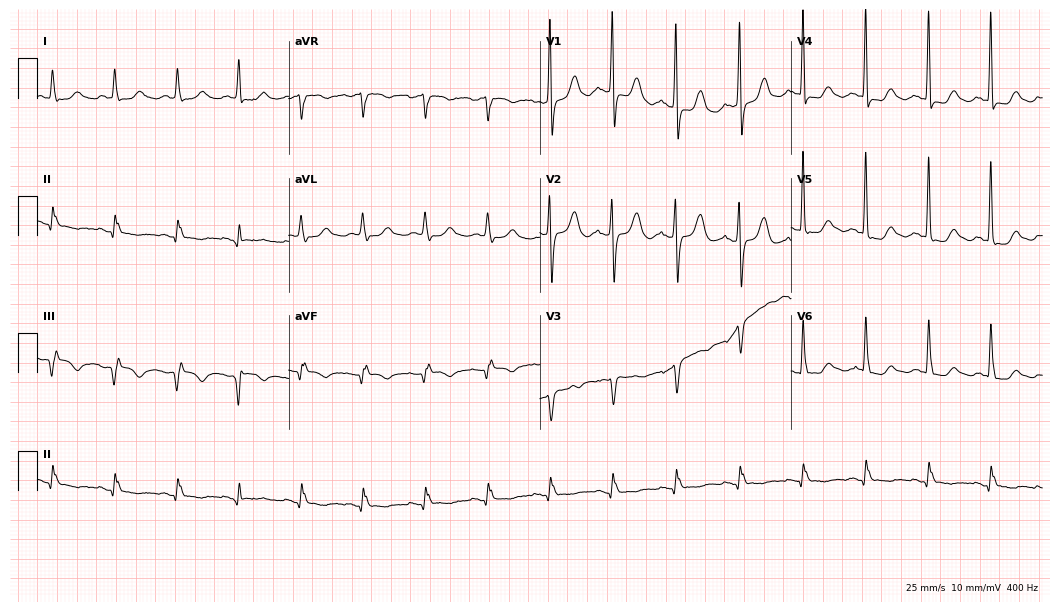
Resting 12-lead electrocardiogram. Patient: an 82-year-old woman. None of these six findings is recorded: first-degree AV block, right bundle branch block, left bundle branch block, sinus bradycardia, atrial fibrillation, sinus tachycardia. Other findings, if any, are not listed.